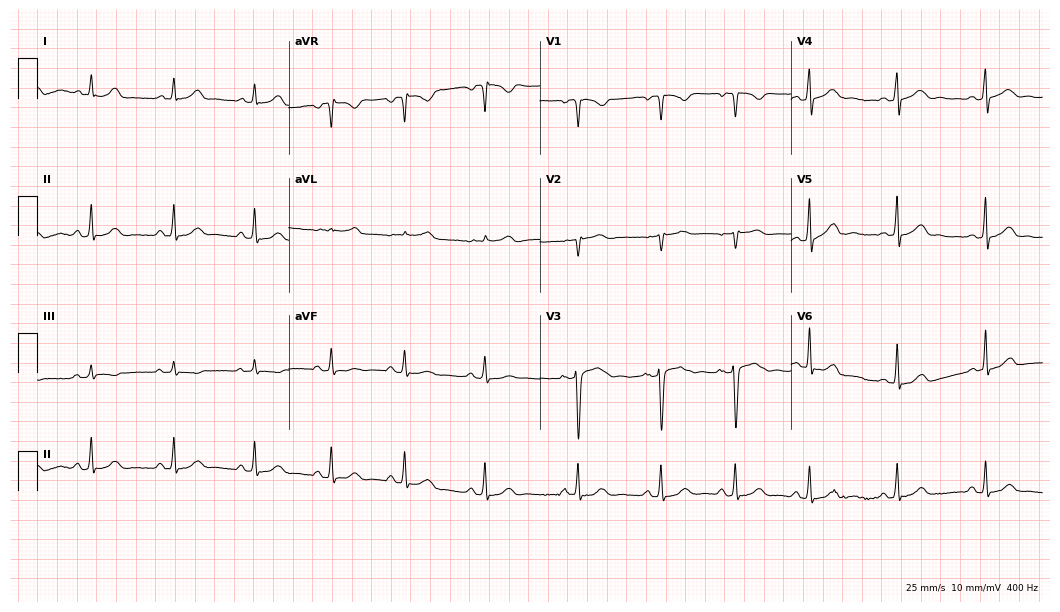
Resting 12-lead electrocardiogram. Patient: a 21-year-old female. None of these six findings is recorded: first-degree AV block, right bundle branch block, left bundle branch block, sinus bradycardia, atrial fibrillation, sinus tachycardia.